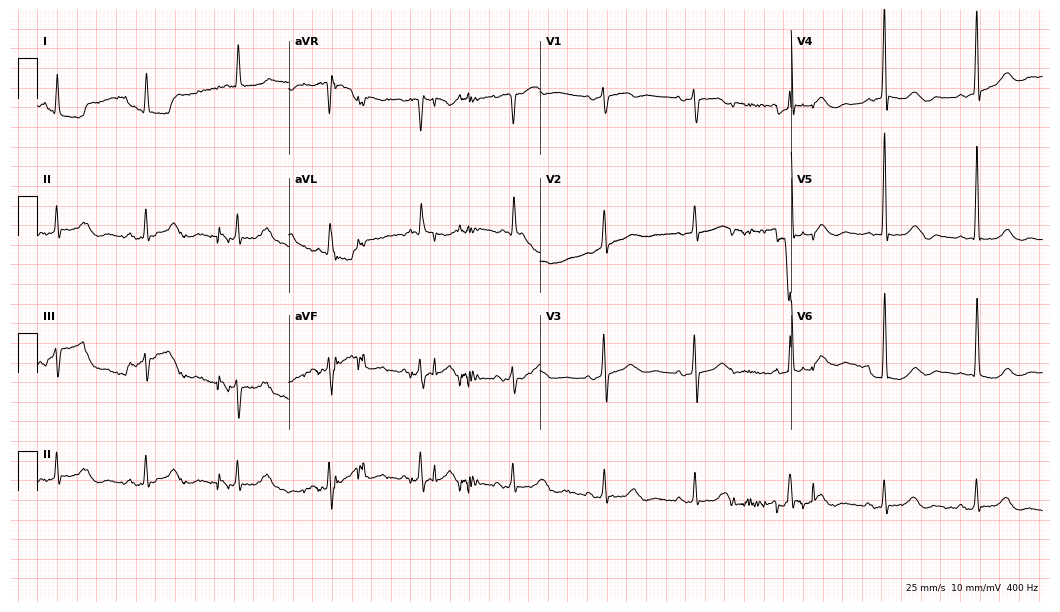
Electrocardiogram, a female patient, 81 years old. Of the six screened findings (first-degree AV block, right bundle branch block, left bundle branch block, sinus bradycardia, atrial fibrillation, sinus tachycardia), none is recorded. Findings outside these six are not listed.